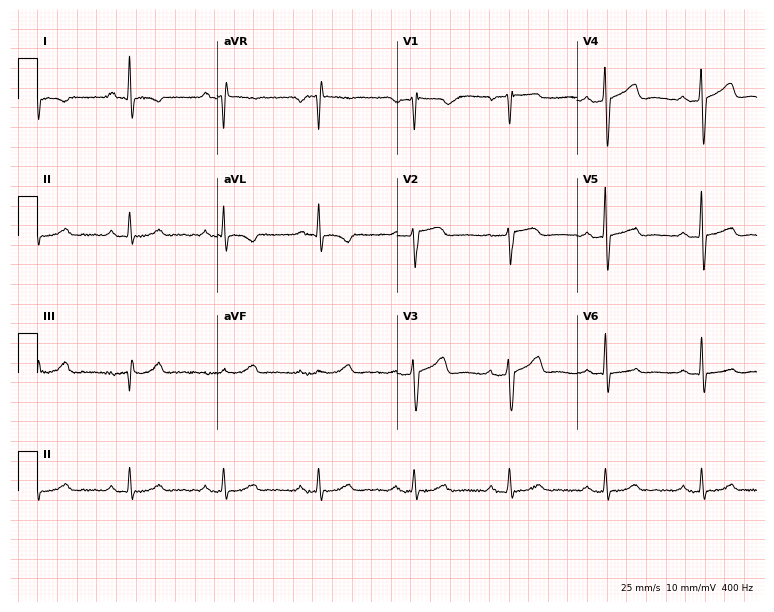
Resting 12-lead electrocardiogram (7.3-second recording at 400 Hz). Patient: a 53-year-old male. None of these six findings is recorded: first-degree AV block, right bundle branch block, left bundle branch block, sinus bradycardia, atrial fibrillation, sinus tachycardia. Other findings, if any, are not listed.